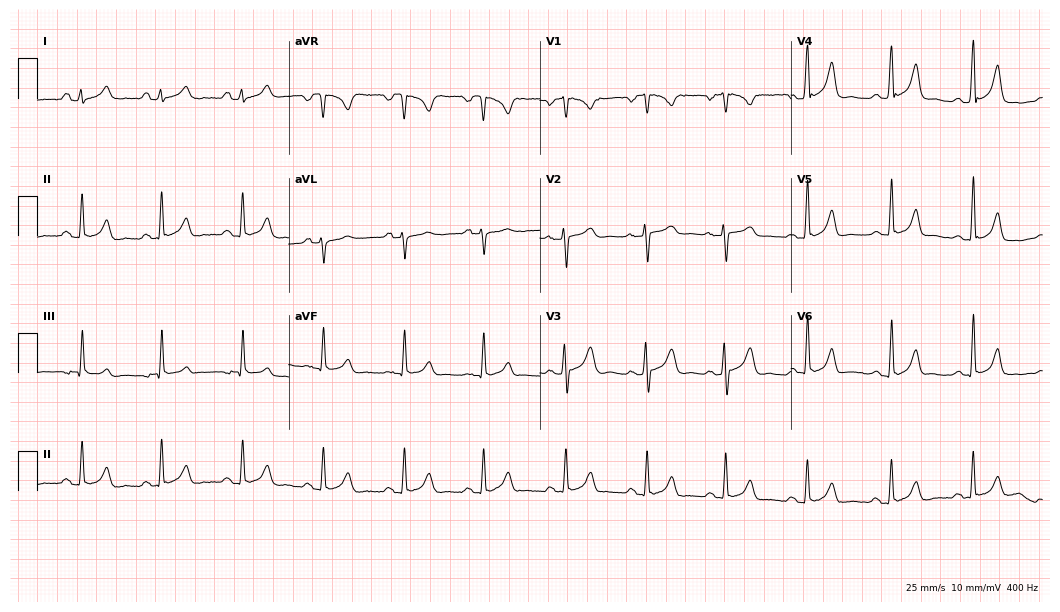
12-lead ECG from a woman, 28 years old. Recorded interpretation: within normal limits.